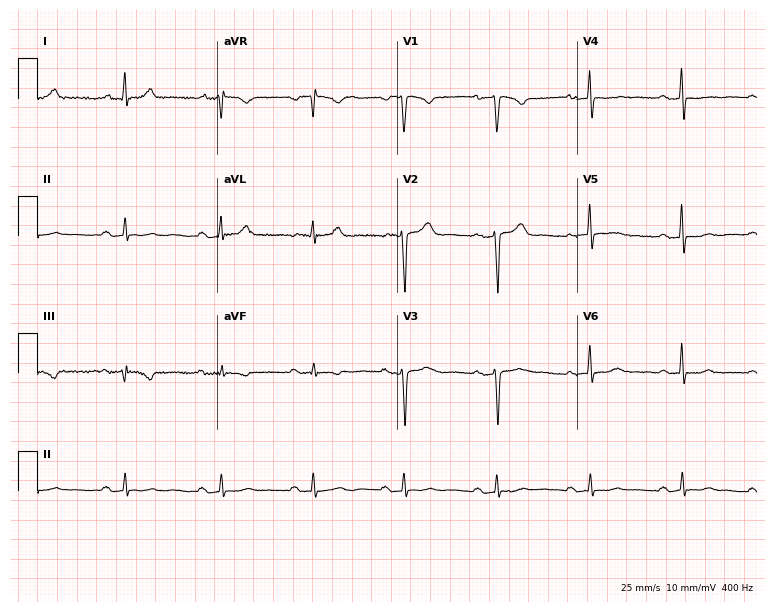
Standard 12-lead ECG recorded from a male patient, 45 years old. None of these six findings is recorded: first-degree AV block, right bundle branch block, left bundle branch block, sinus bradycardia, atrial fibrillation, sinus tachycardia. Other findings, if any, are not listed.